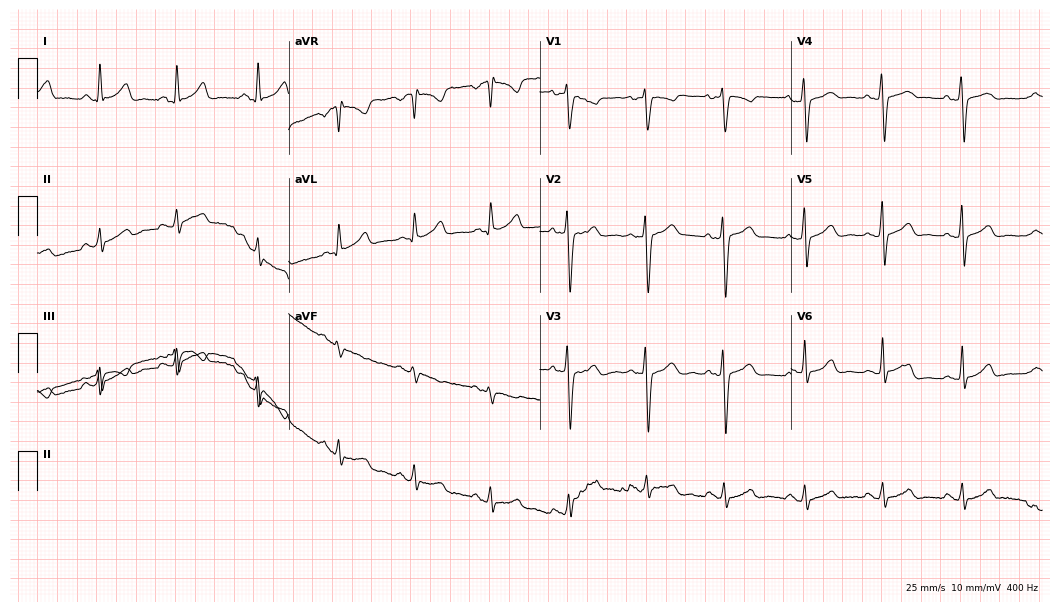
12-lead ECG from a 29-year-old woman. Recorded interpretation: within normal limits.